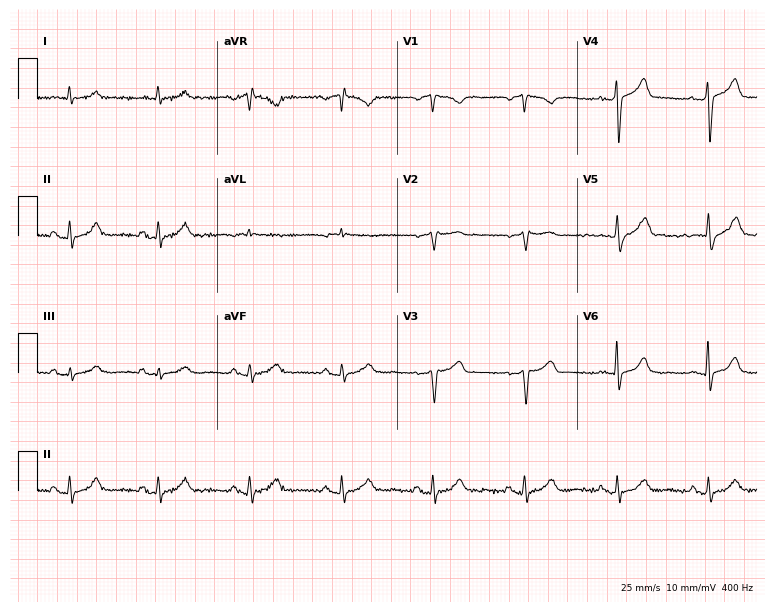
12-lead ECG from a male, 67 years old. No first-degree AV block, right bundle branch block (RBBB), left bundle branch block (LBBB), sinus bradycardia, atrial fibrillation (AF) or sinus tachycardia recorded for this tracing.